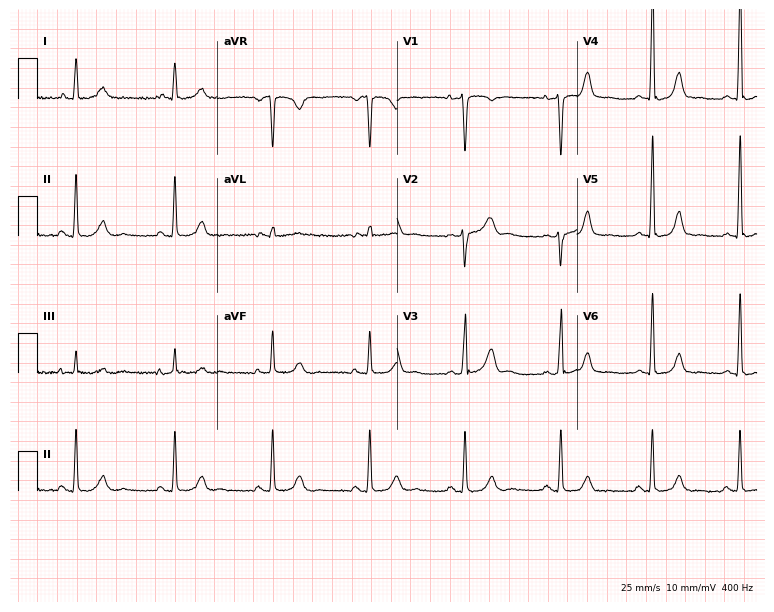
Resting 12-lead electrocardiogram. Patient: a 44-year-old female. None of these six findings is recorded: first-degree AV block, right bundle branch block (RBBB), left bundle branch block (LBBB), sinus bradycardia, atrial fibrillation (AF), sinus tachycardia.